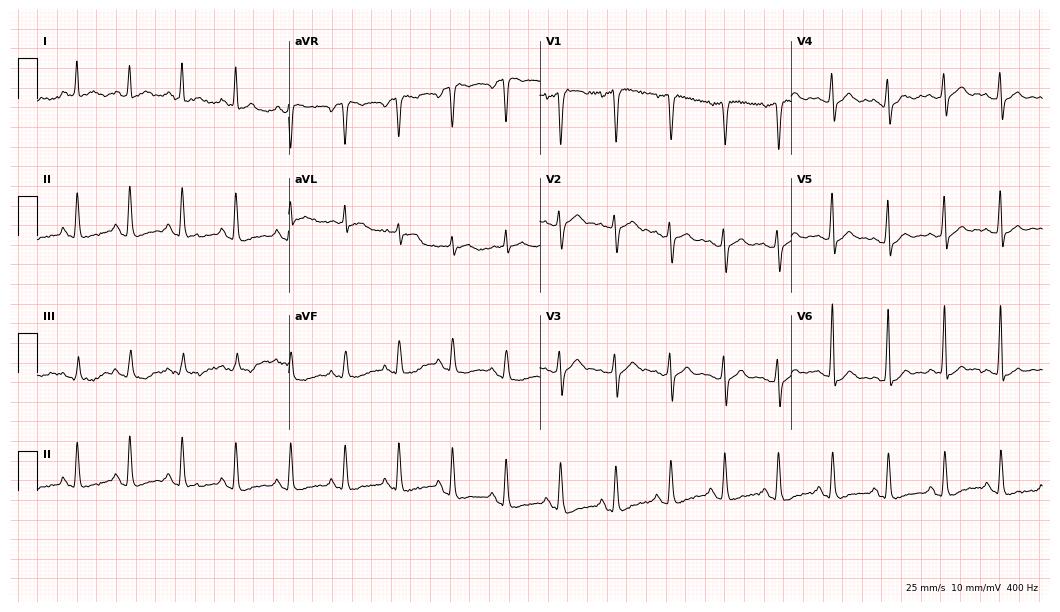
ECG — a 50-year-old male patient. Screened for six findings — first-degree AV block, right bundle branch block, left bundle branch block, sinus bradycardia, atrial fibrillation, sinus tachycardia — none is recorded.